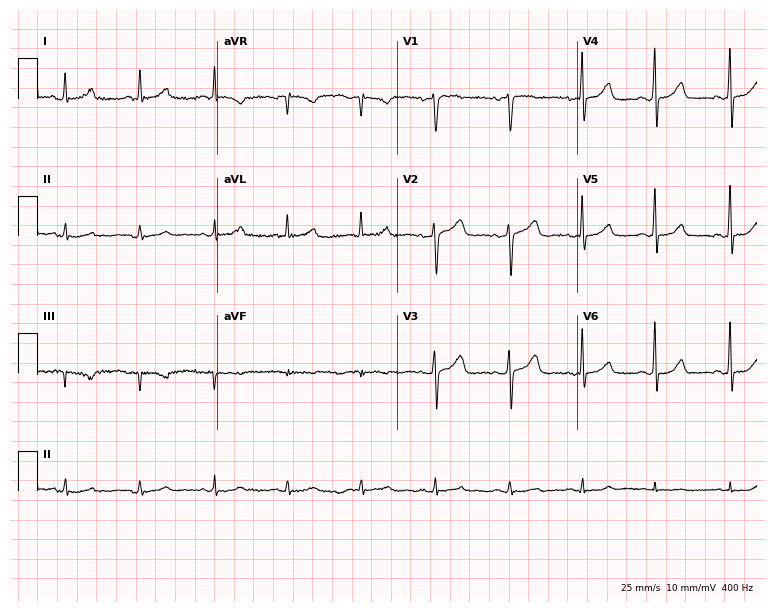
Standard 12-lead ECG recorded from a female patient, 57 years old. Read as a normal ECG.